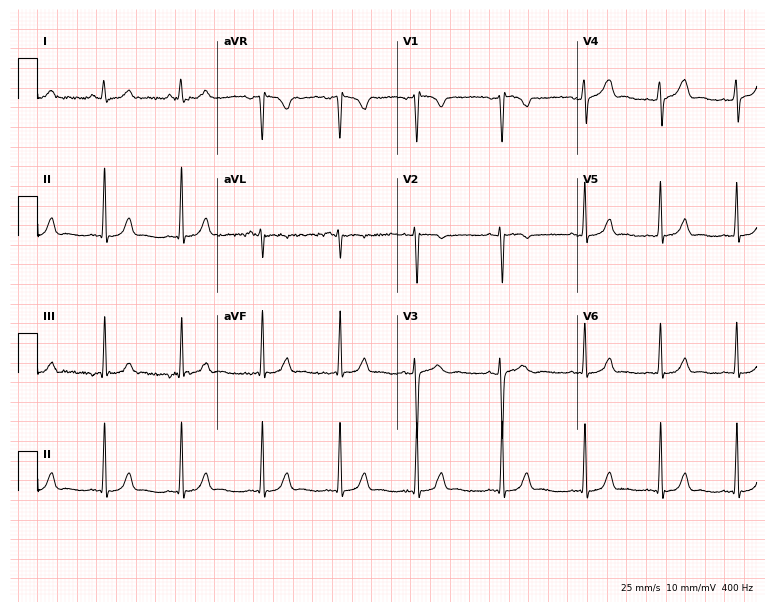
12-lead ECG from an 18-year-old female. Labelled as a normal ECG.